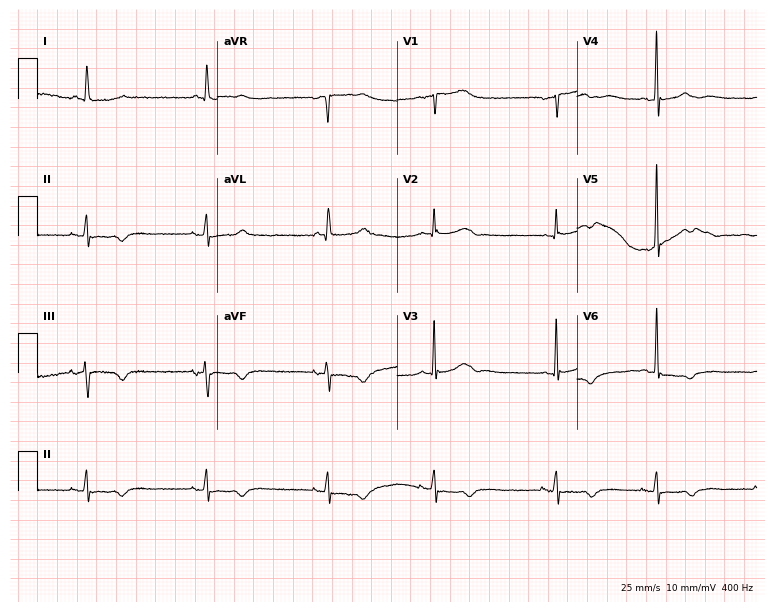
12-lead ECG from a female patient, 79 years old. No first-degree AV block, right bundle branch block, left bundle branch block, sinus bradycardia, atrial fibrillation or sinus tachycardia recorded for this tracing. Other findings, if any, are not listed.